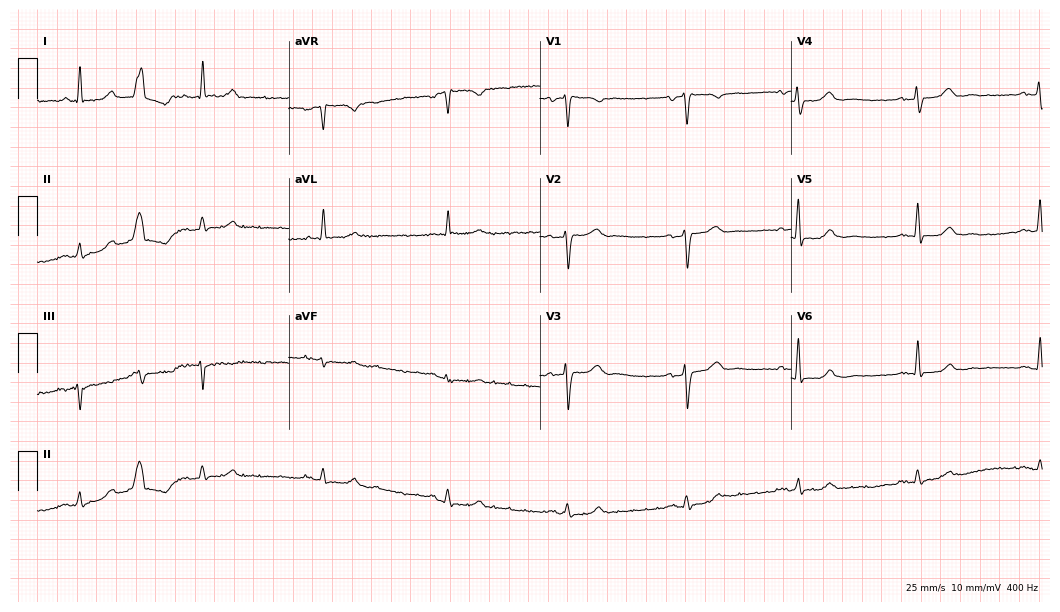
Electrocardiogram (10.2-second recording at 400 Hz), a man, 76 years old. Interpretation includes sinus bradycardia (a sinus rate of 50 beats per minute or less).